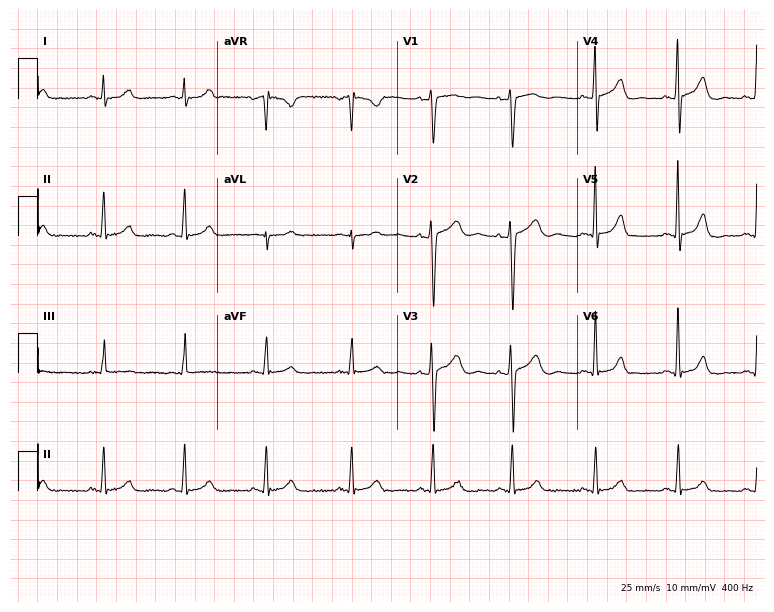
12-lead ECG from a female, 40 years old. Labelled as a normal ECG.